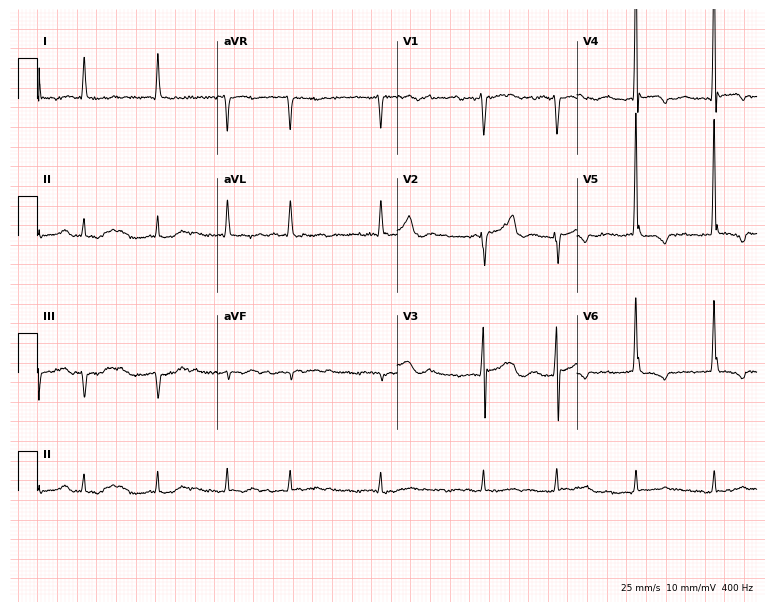
12-lead ECG (7.3-second recording at 400 Hz) from a man, 79 years old. Findings include atrial fibrillation.